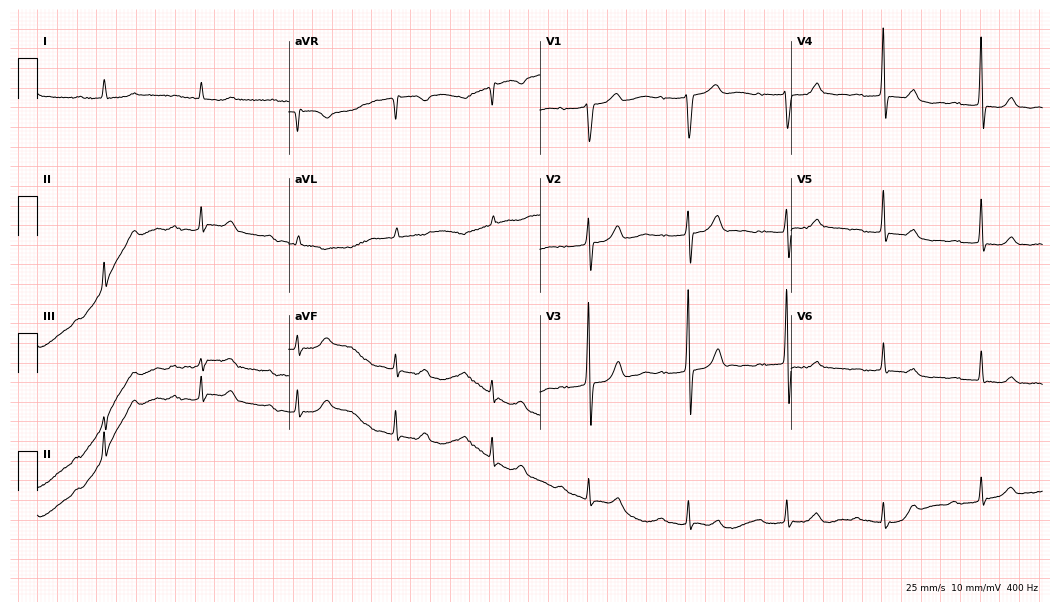
Standard 12-lead ECG recorded from an 82-year-old female patient. The tracing shows first-degree AV block.